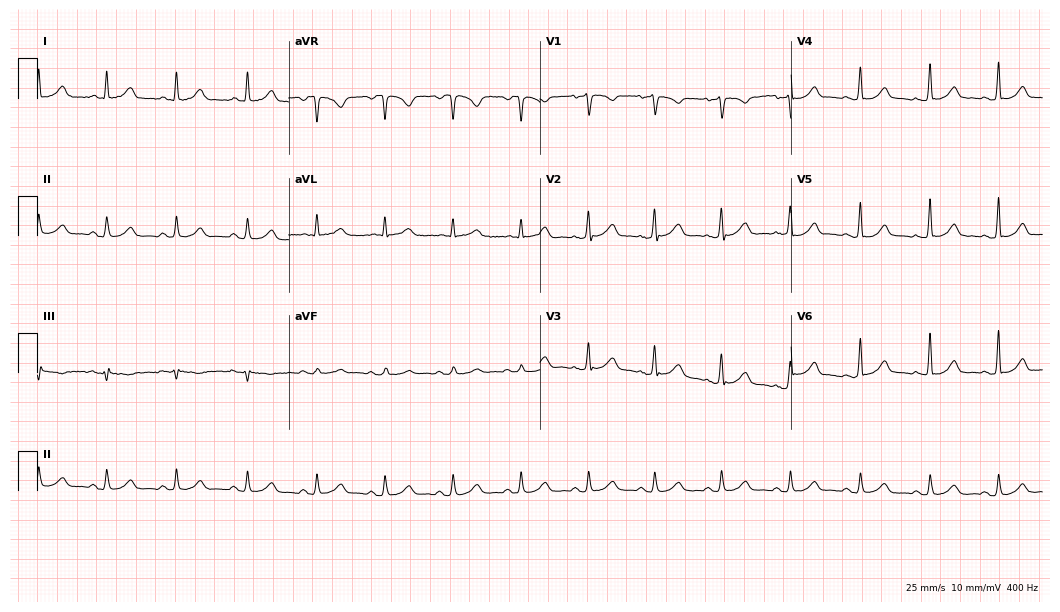
Resting 12-lead electrocardiogram (10.2-second recording at 400 Hz). Patient: a female, 45 years old. Read as a normal ECG.